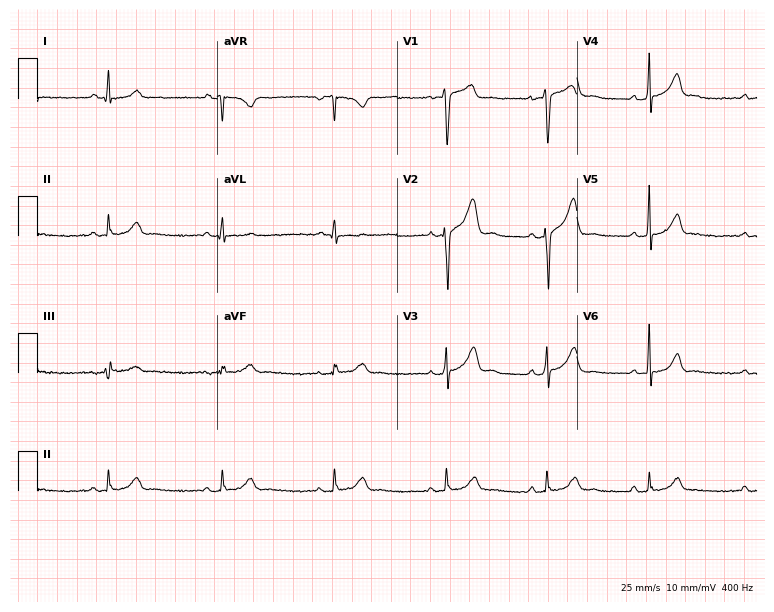
ECG (7.3-second recording at 400 Hz) — a 36-year-old male patient. Screened for six findings — first-degree AV block, right bundle branch block, left bundle branch block, sinus bradycardia, atrial fibrillation, sinus tachycardia — none is recorded.